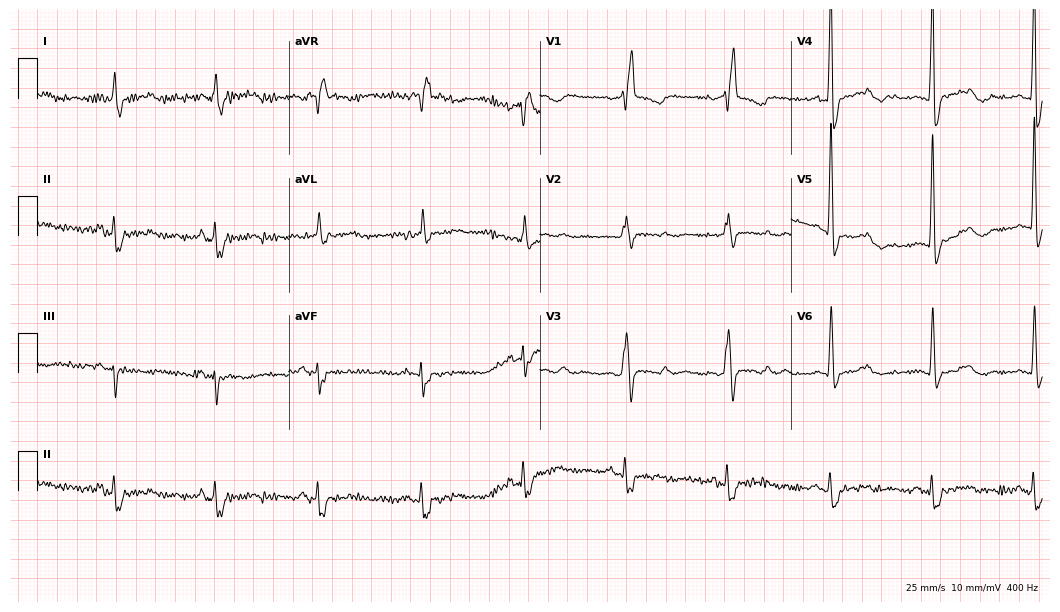
Resting 12-lead electrocardiogram. Patient: a 75-year-old male. The tracing shows right bundle branch block.